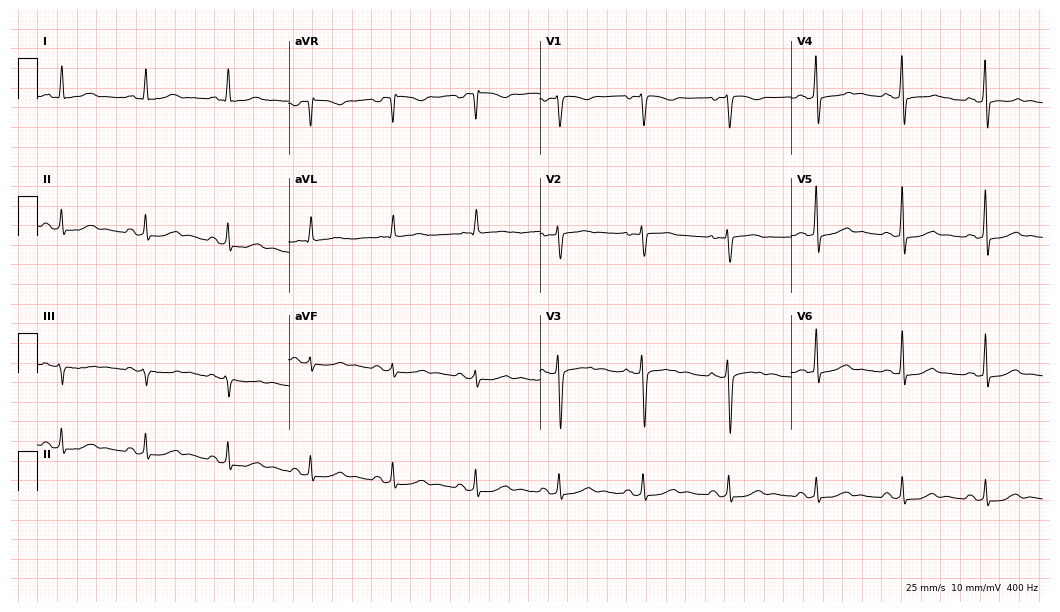
12-lead ECG from a 44-year-old female patient. No first-degree AV block, right bundle branch block, left bundle branch block, sinus bradycardia, atrial fibrillation or sinus tachycardia recorded for this tracing.